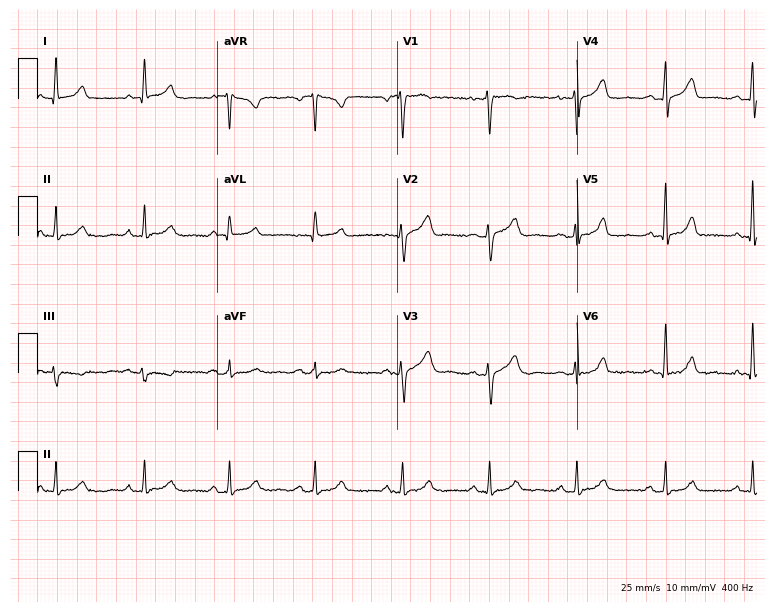
ECG — a woman, 42 years old. Screened for six findings — first-degree AV block, right bundle branch block, left bundle branch block, sinus bradycardia, atrial fibrillation, sinus tachycardia — none is recorded.